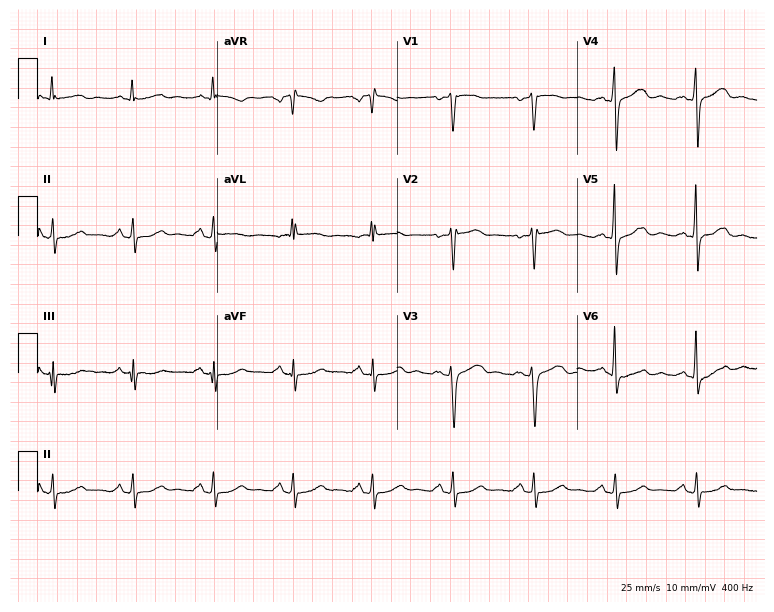
Electrocardiogram, a 56-year-old woman. Overall reading on record: normal ECG.